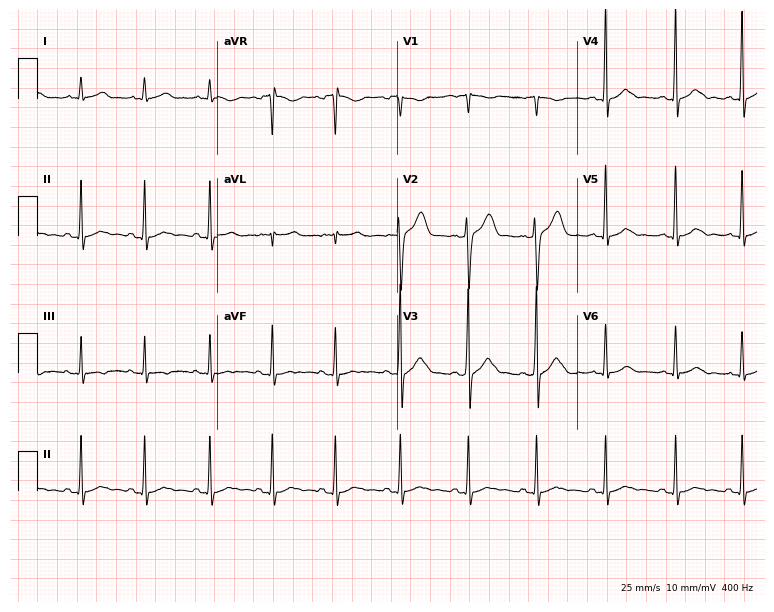
12-lead ECG from a male patient, 30 years old. Screened for six findings — first-degree AV block, right bundle branch block (RBBB), left bundle branch block (LBBB), sinus bradycardia, atrial fibrillation (AF), sinus tachycardia — none is recorded.